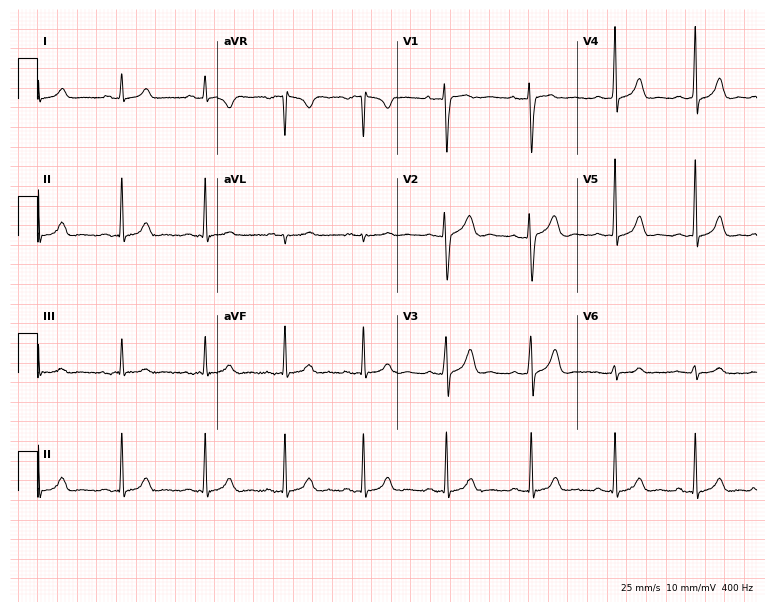
Standard 12-lead ECG recorded from a woman, 27 years old. None of these six findings is recorded: first-degree AV block, right bundle branch block, left bundle branch block, sinus bradycardia, atrial fibrillation, sinus tachycardia. Findings outside these six are not listed.